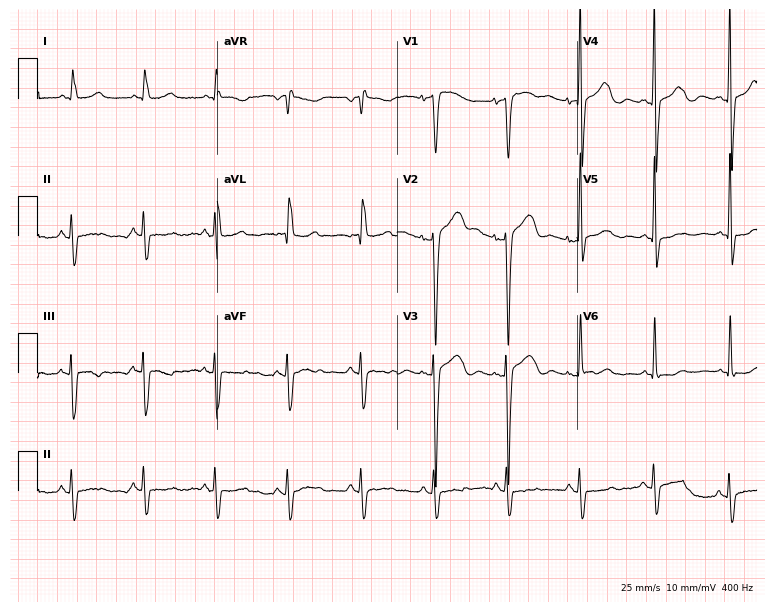
Standard 12-lead ECG recorded from an 81-year-old woman. None of these six findings is recorded: first-degree AV block, right bundle branch block (RBBB), left bundle branch block (LBBB), sinus bradycardia, atrial fibrillation (AF), sinus tachycardia.